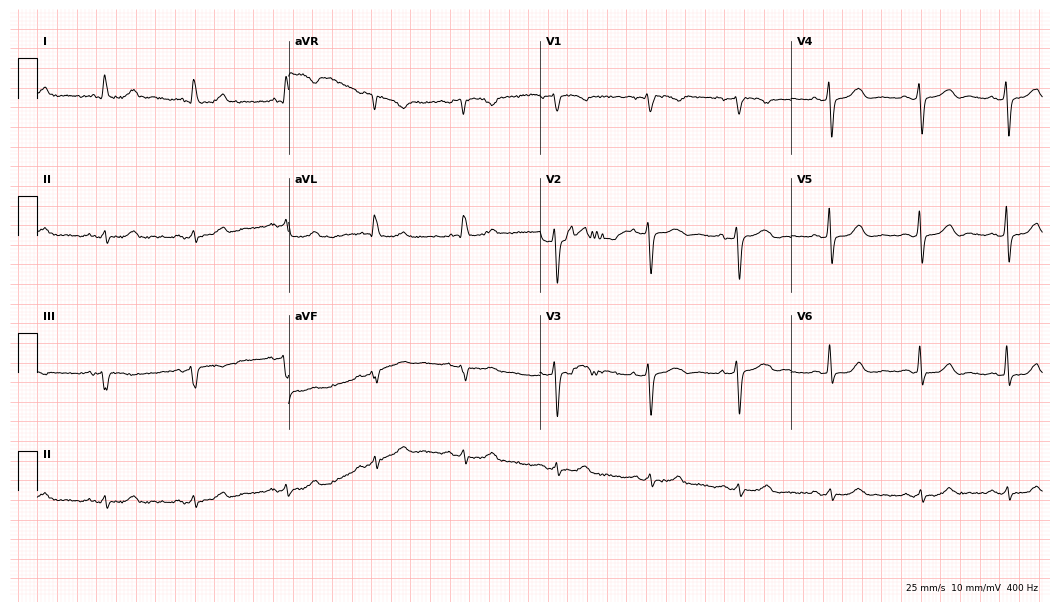
Standard 12-lead ECG recorded from a 79-year-old woman (10.2-second recording at 400 Hz). None of these six findings is recorded: first-degree AV block, right bundle branch block, left bundle branch block, sinus bradycardia, atrial fibrillation, sinus tachycardia.